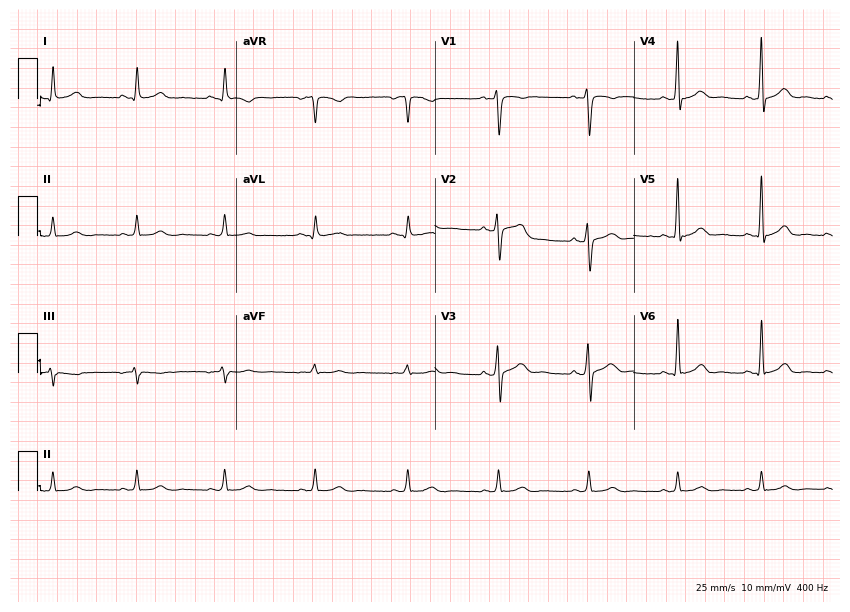
ECG — a male patient, 29 years old. Labelled as a normal ECG.